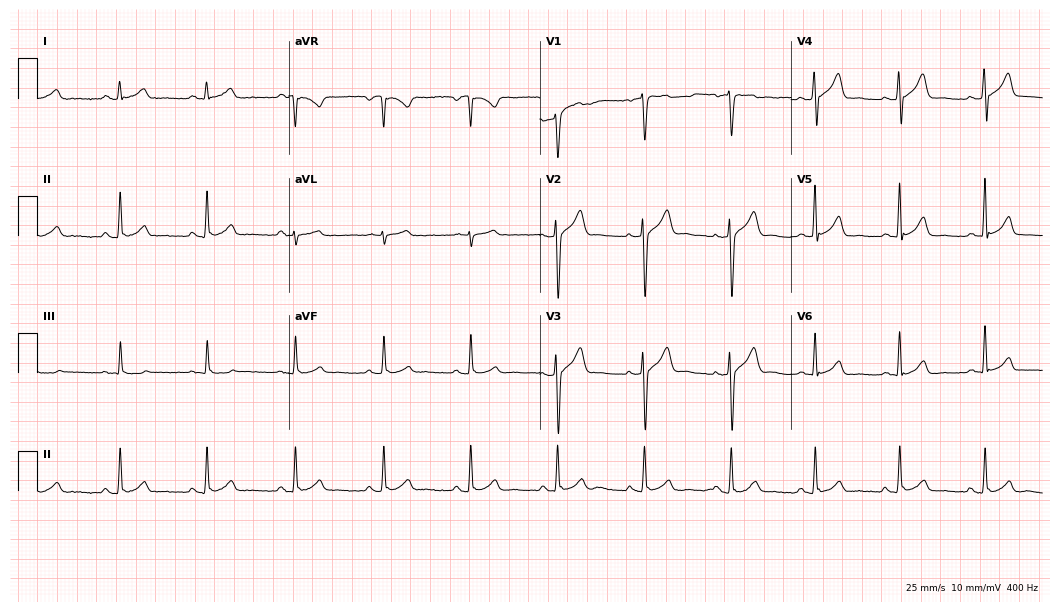
Standard 12-lead ECG recorded from a 49-year-old man (10.2-second recording at 400 Hz). Read as a normal ECG.